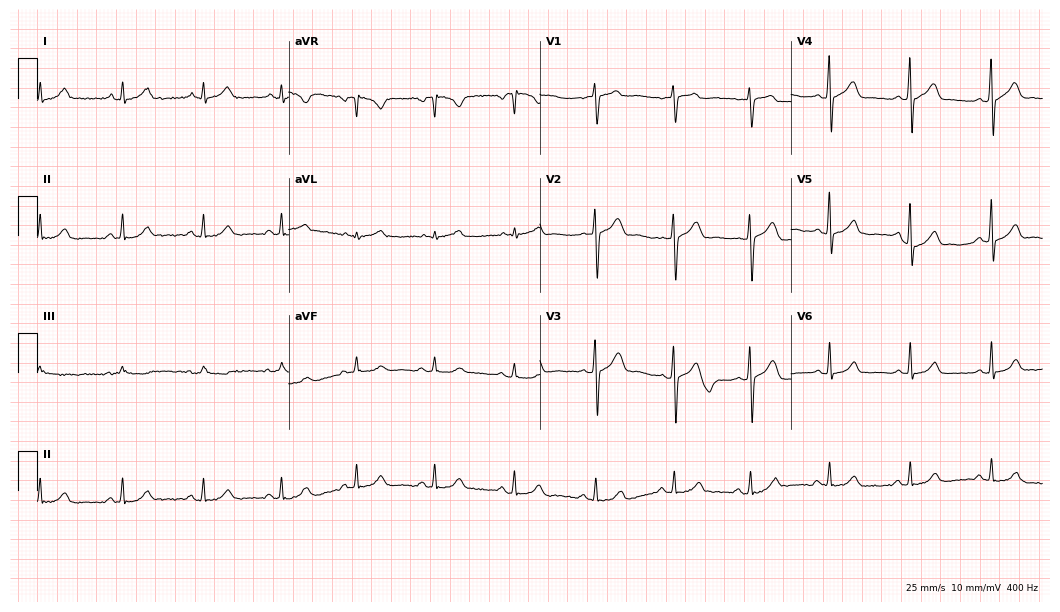
12-lead ECG (10.2-second recording at 400 Hz) from a 43-year-old woman. Screened for six findings — first-degree AV block, right bundle branch block, left bundle branch block, sinus bradycardia, atrial fibrillation, sinus tachycardia — none is recorded. Other findings, if any, are not listed.